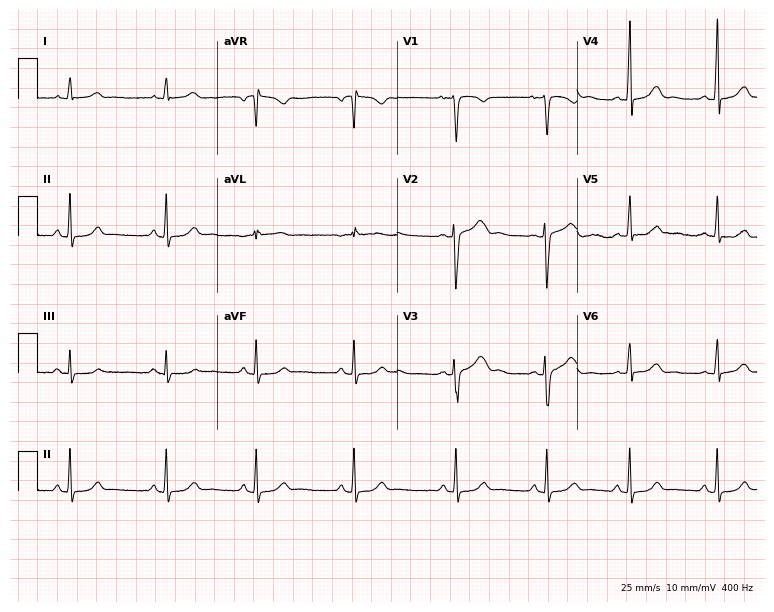
Electrocardiogram, a woman, 21 years old. Of the six screened findings (first-degree AV block, right bundle branch block (RBBB), left bundle branch block (LBBB), sinus bradycardia, atrial fibrillation (AF), sinus tachycardia), none is recorded. Other findings, if any, are not listed.